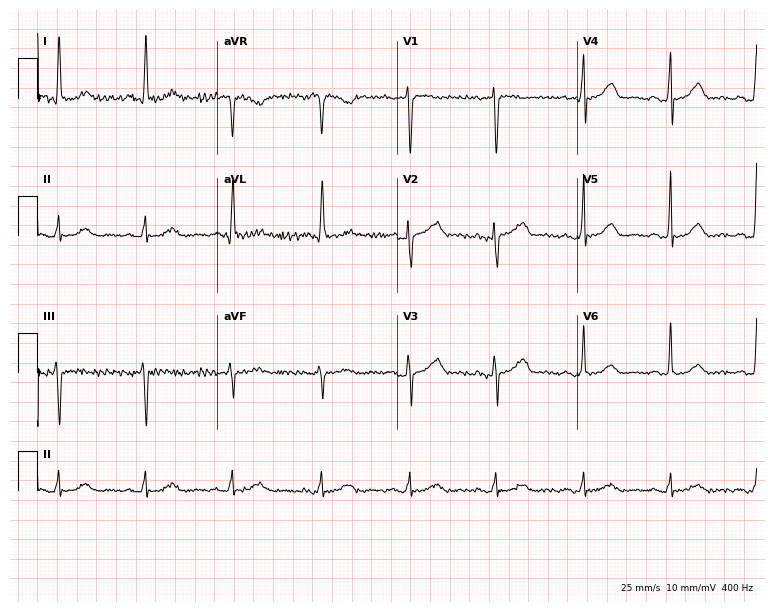
12-lead ECG from a 78-year-old female patient (7.3-second recording at 400 Hz). No first-degree AV block, right bundle branch block, left bundle branch block, sinus bradycardia, atrial fibrillation or sinus tachycardia recorded for this tracing.